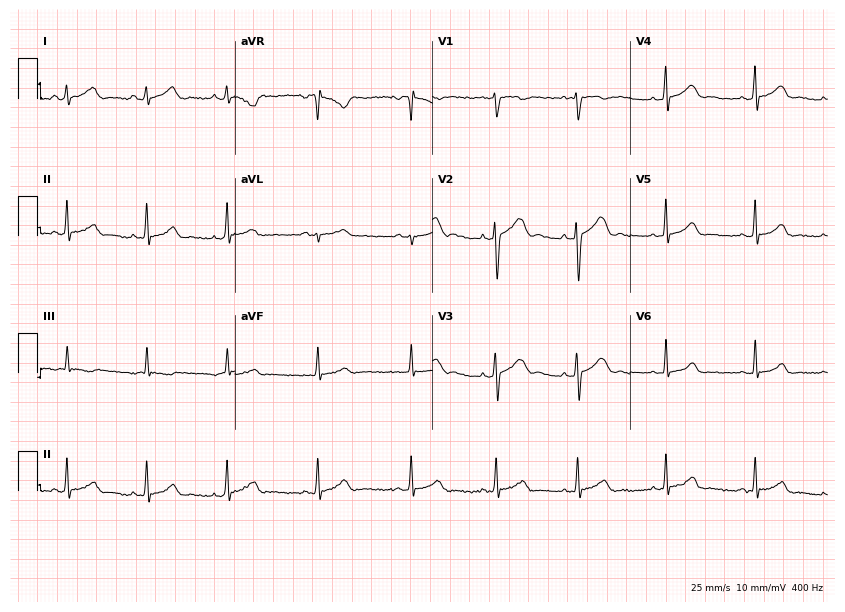
Electrocardiogram (8.1-second recording at 400 Hz), a female patient, 19 years old. Of the six screened findings (first-degree AV block, right bundle branch block, left bundle branch block, sinus bradycardia, atrial fibrillation, sinus tachycardia), none is recorded.